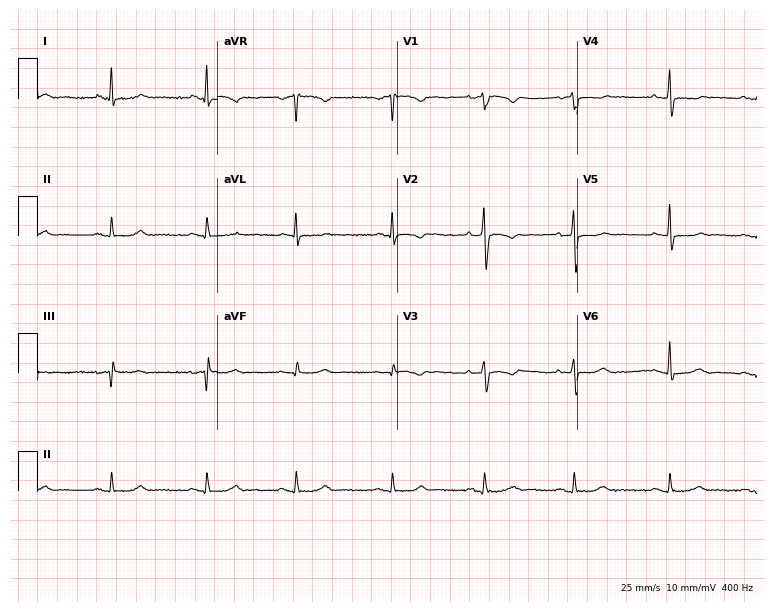
12-lead ECG from a woman, 74 years old. Screened for six findings — first-degree AV block, right bundle branch block (RBBB), left bundle branch block (LBBB), sinus bradycardia, atrial fibrillation (AF), sinus tachycardia — none is recorded.